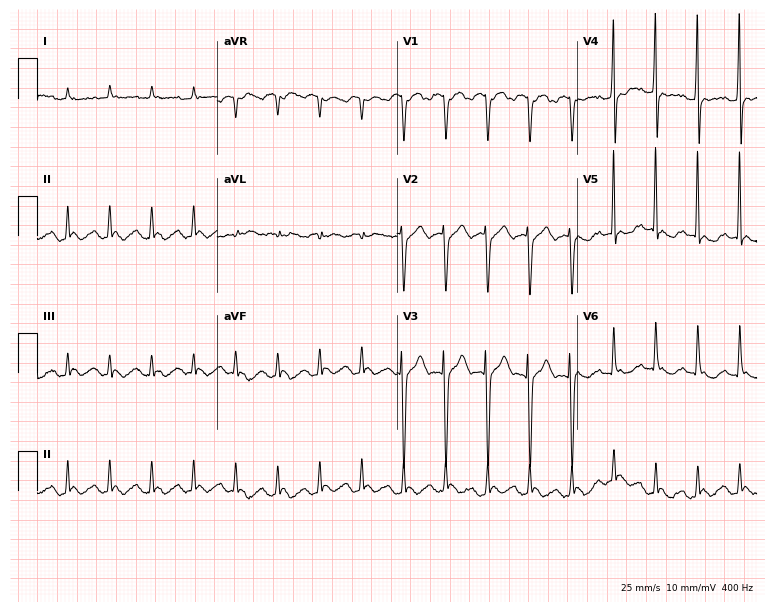
Resting 12-lead electrocardiogram (7.3-second recording at 400 Hz). Patient: a female, 74 years old. None of these six findings is recorded: first-degree AV block, right bundle branch block (RBBB), left bundle branch block (LBBB), sinus bradycardia, atrial fibrillation (AF), sinus tachycardia.